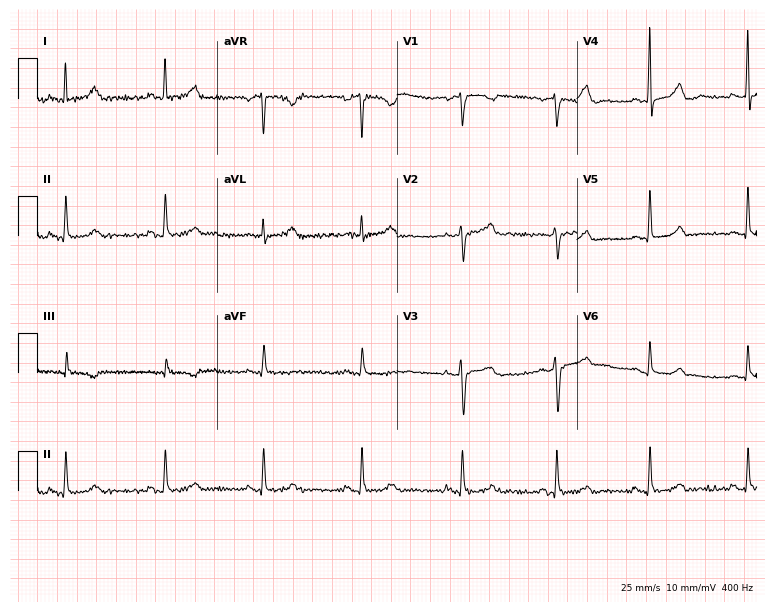
12-lead ECG from a 40-year-old woman. Labelled as a normal ECG.